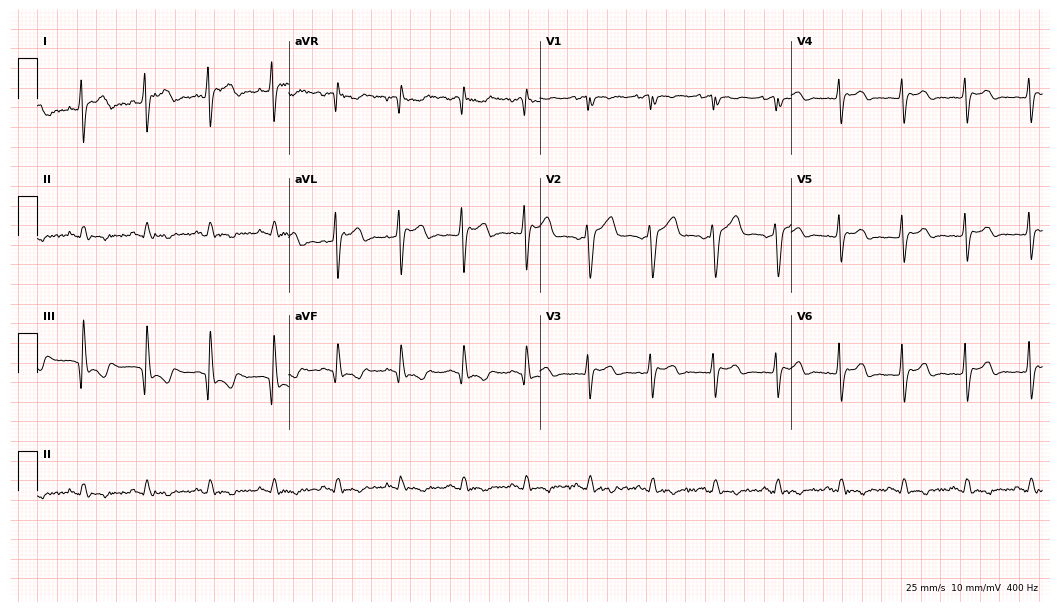
Standard 12-lead ECG recorded from a male patient, 68 years old. None of these six findings is recorded: first-degree AV block, right bundle branch block (RBBB), left bundle branch block (LBBB), sinus bradycardia, atrial fibrillation (AF), sinus tachycardia. Only these six findings were labelled.